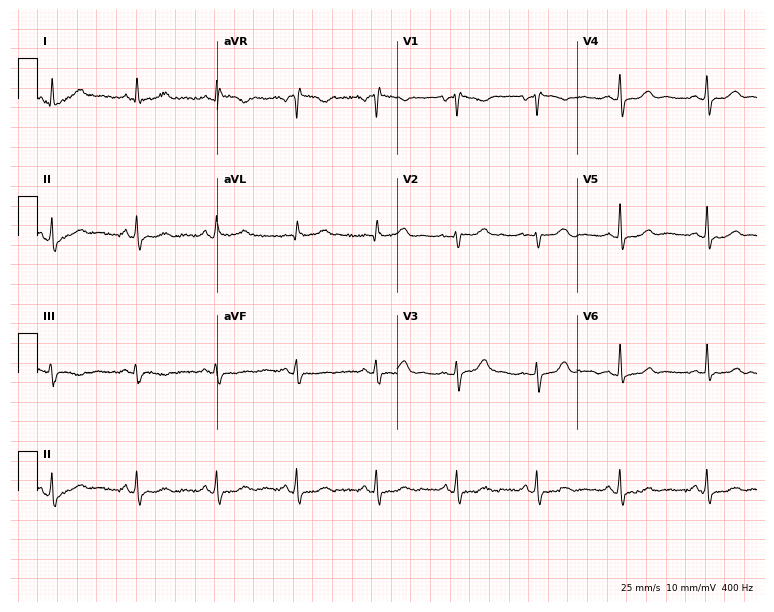
Electrocardiogram (7.3-second recording at 400 Hz), a female patient, 47 years old. Of the six screened findings (first-degree AV block, right bundle branch block, left bundle branch block, sinus bradycardia, atrial fibrillation, sinus tachycardia), none is recorded. Findings outside these six are not listed.